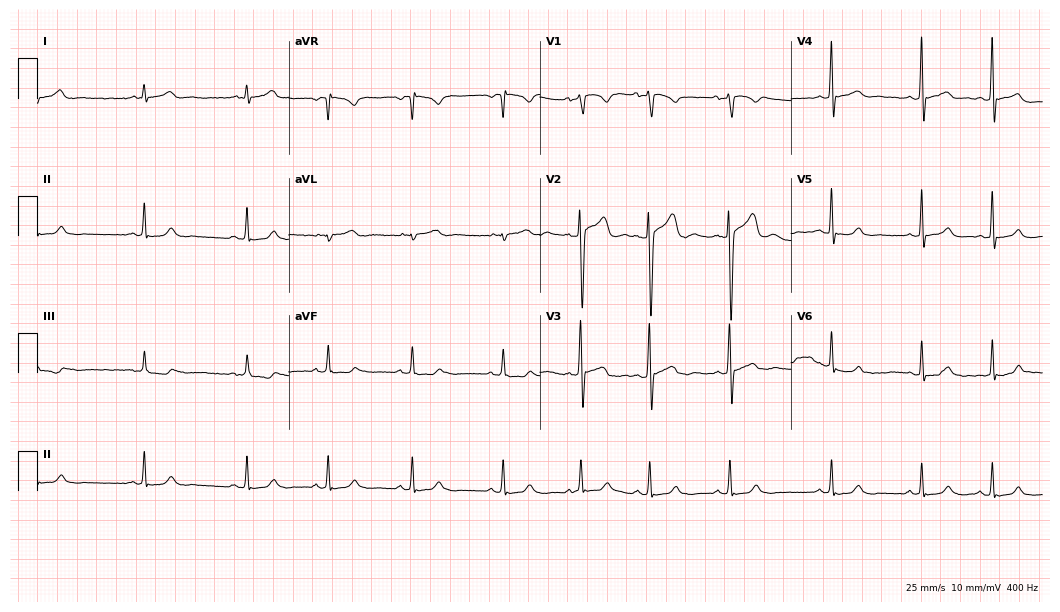
12-lead ECG (10.2-second recording at 400 Hz) from a 19-year-old male. Screened for six findings — first-degree AV block, right bundle branch block (RBBB), left bundle branch block (LBBB), sinus bradycardia, atrial fibrillation (AF), sinus tachycardia — none is recorded.